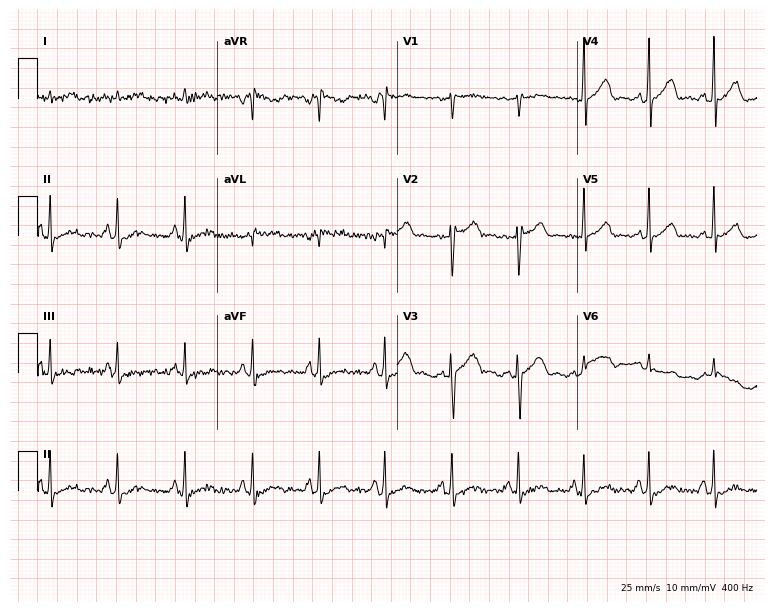
Resting 12-lead electrocardiogram. Patient: a 44-year-old male. None of these six findings is recorded: first-degree AV block, right bundle branch block (RBBB), left bundle branch block (LBBB), sinus bradycardia, atrial fibrillation (AF), sinus tachycardia.